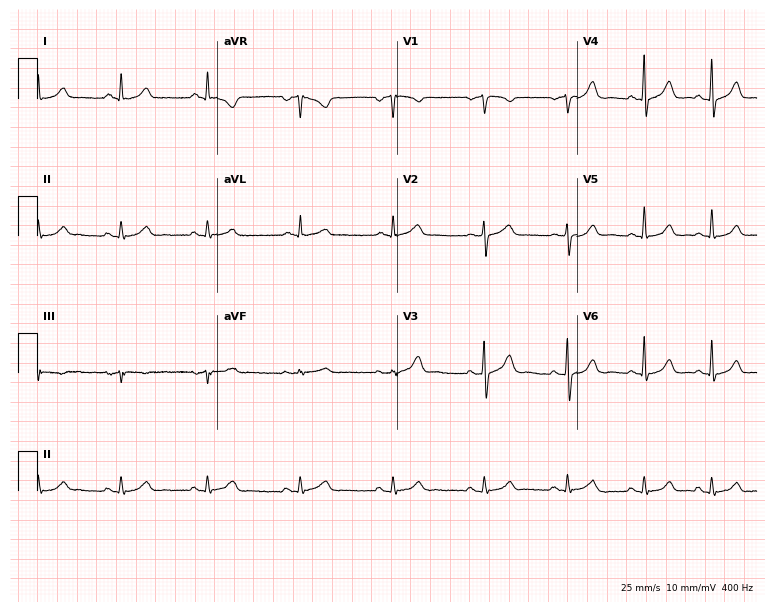
12-lead ECG (7.3-second recording at 400 Hz) from a 55-year-old female. Labelled as a normal ECG.